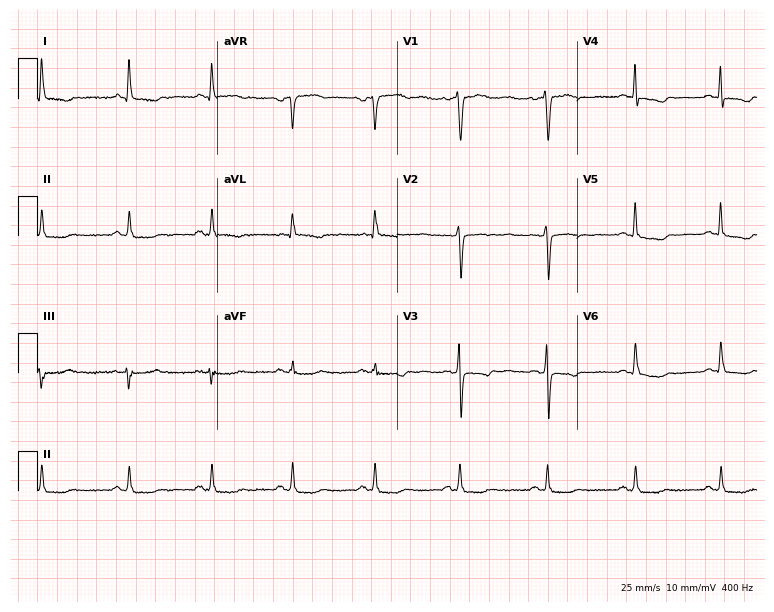
ECG — a 56-year-old female patient. Screened for six findings — first-degree AV block, right bundle branch block (RBBB), left bundle branch block (LBBB), sinus bradycardia, atrial fibrillation (AF), sinus tachycardia — none is recorded. Other findings, if any, are not listed.